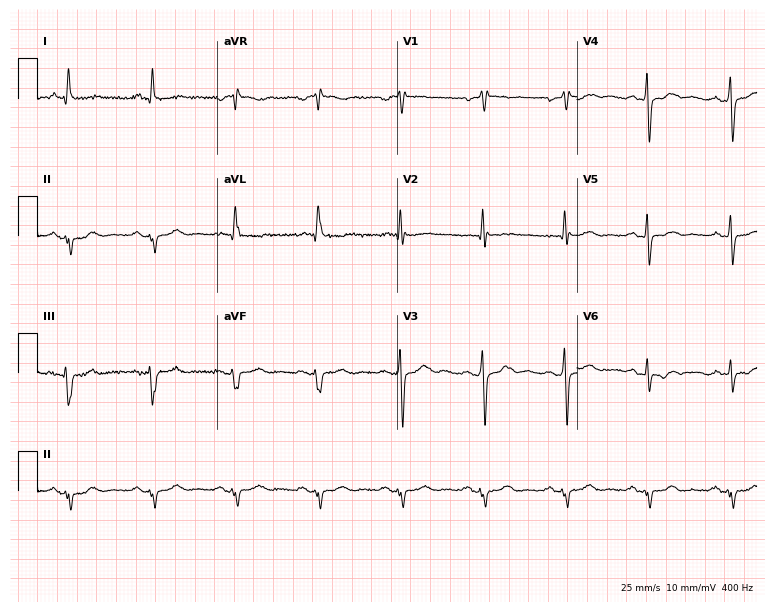
Electrocardiogram, a 76-year-old man. Of the six screened findings (first-degree AV block, right bundle branch block (RBBB), left bundle branch block (LBBB), sinus bradycardia, atrial fibrillation (AF), sinus tachycardia), none is recorded.